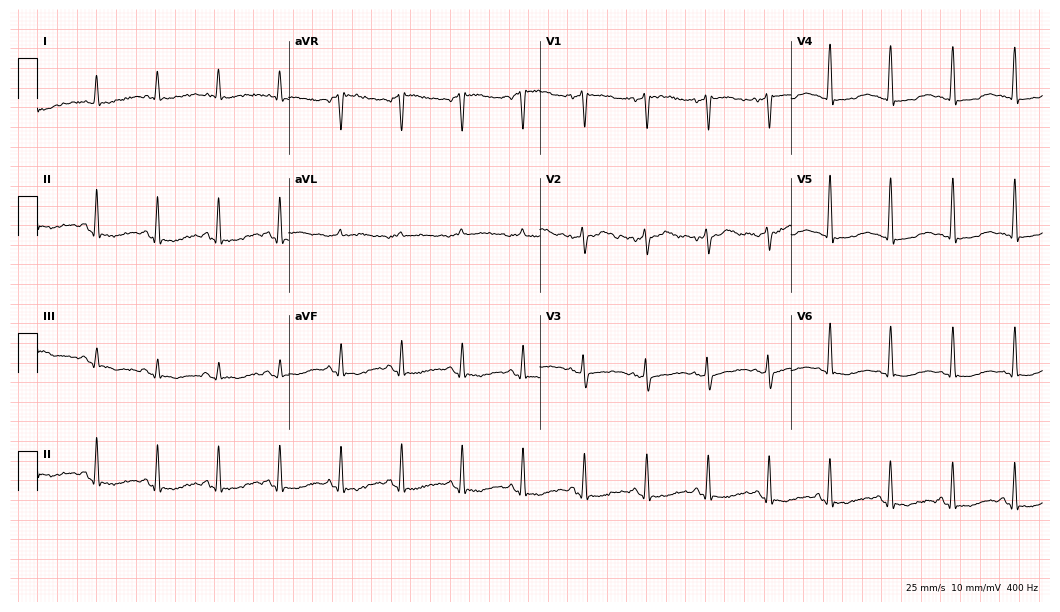
Electrocardiogram, a 55-year-old female patient. Of the six screened findings (first-degree AV block, right bundle branch block, left bundle branch block, sinus bradycardia, atrial fibrillation, sinus tachycardia), none is recorded. Findings outside these six are not listed.